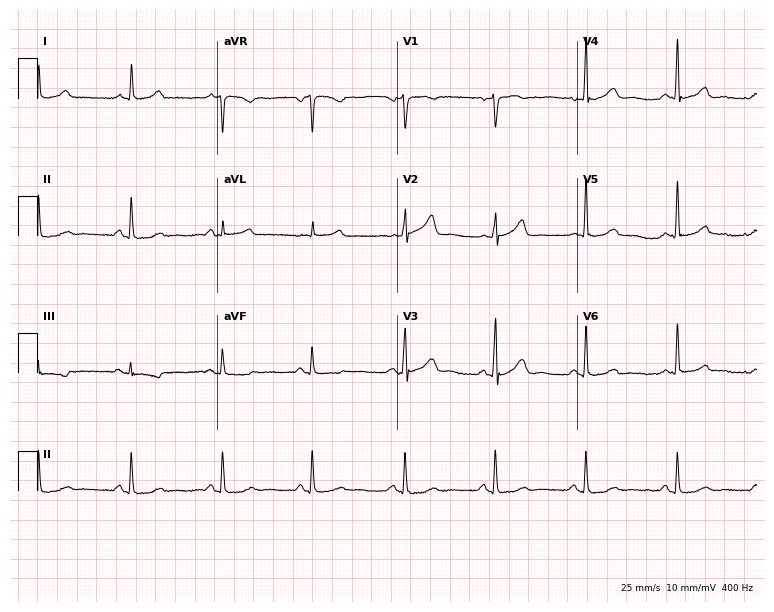
12-lead ECG (7.3-second recording at 400 Hz) from a female patient, 78 years old. Screened for six findings — first-degree AV block, right bundle branch block (RBBB), left bundle branch block (LBBB), sinus bradycardia, atrial fibrillation (AF), sinus tachycardia — none is recorded. Other findings, if any, are not listed.